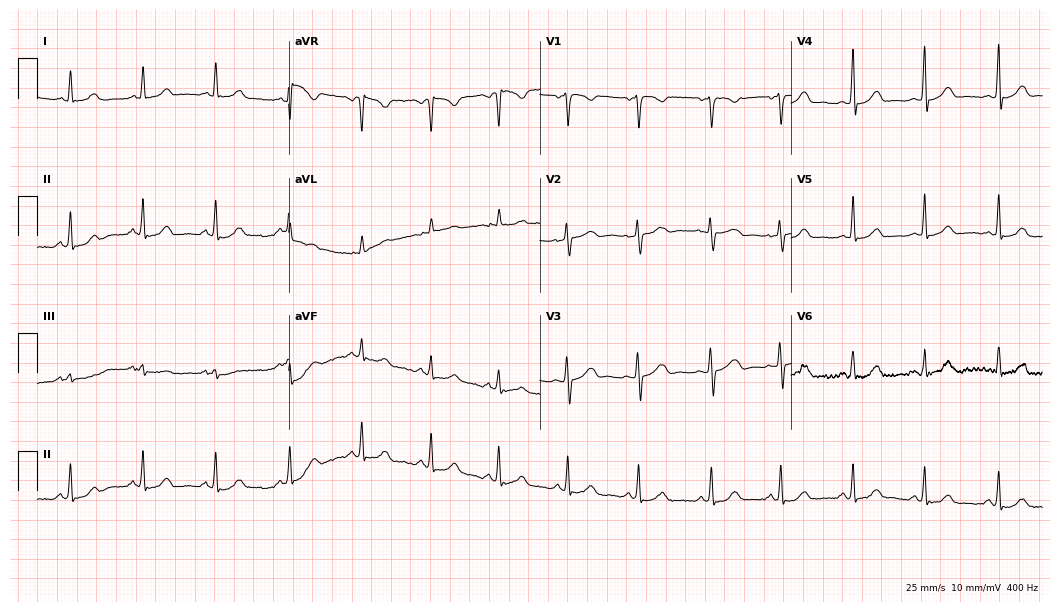
Resting 12-lead electrocardiogram. Patient: a female, 39 years old. Read as a normal ECG.